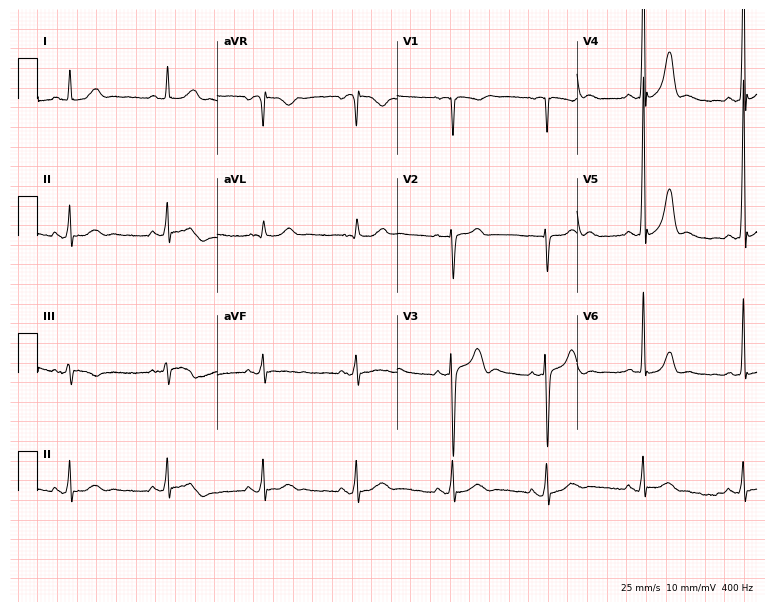
12-lead ECG from a male, 36 years old. Labelled as a normal ECG.